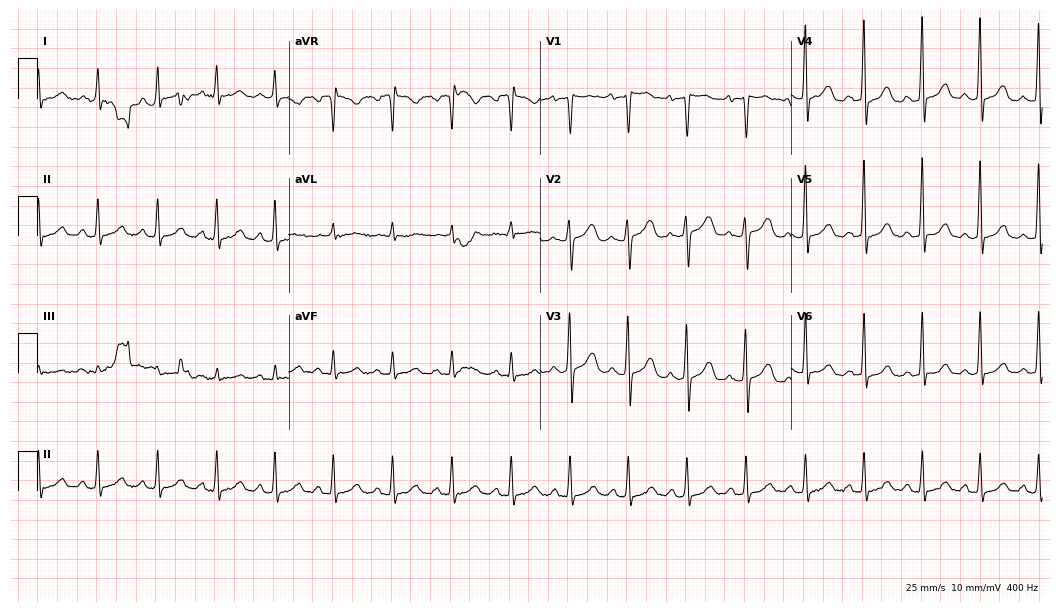
Resting 12-lead electrocardiogram (10.2-second recording at 400 Hz). Patient: a 42-year-old female. Read as a normal ECG.